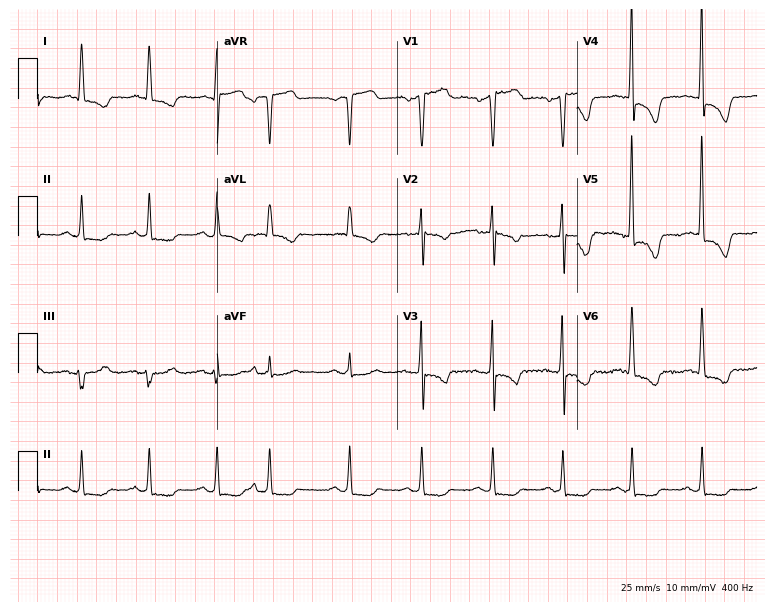
Standard 12-lead ECG recorded from a man, 84 years old (7.3-second recording at 400 Hz). None of these six findings is recorded: first-degree AV block, right bundle branch block, left bundle branch block, sinus bradycardia, atrial fibrillation, sinus tachycardia. Only these six findings were labelled.